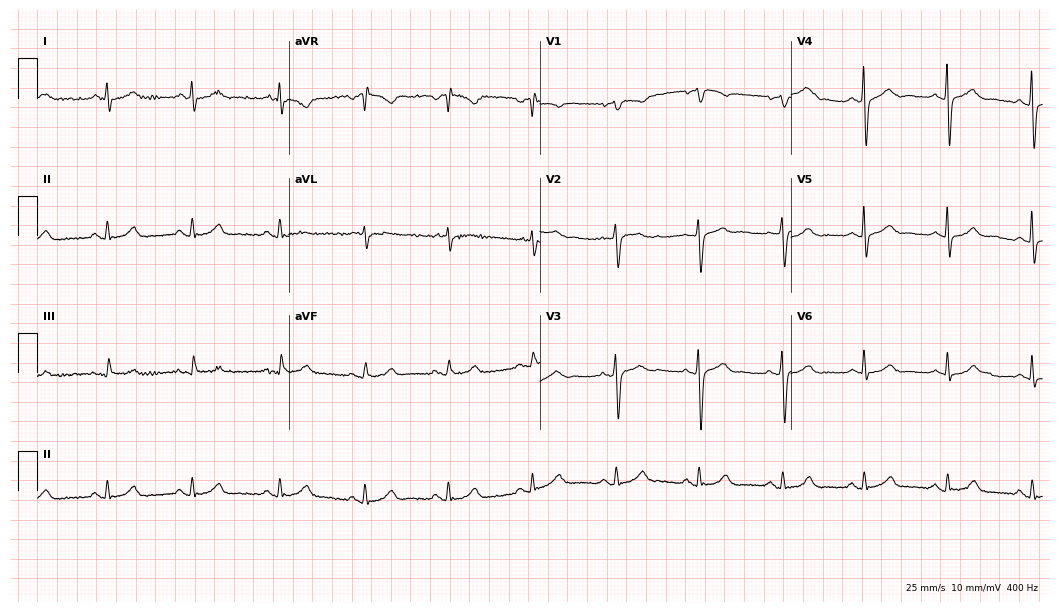
12-lead ECG from a 68-year-old woman. Recorded interpretation: within normal limits.